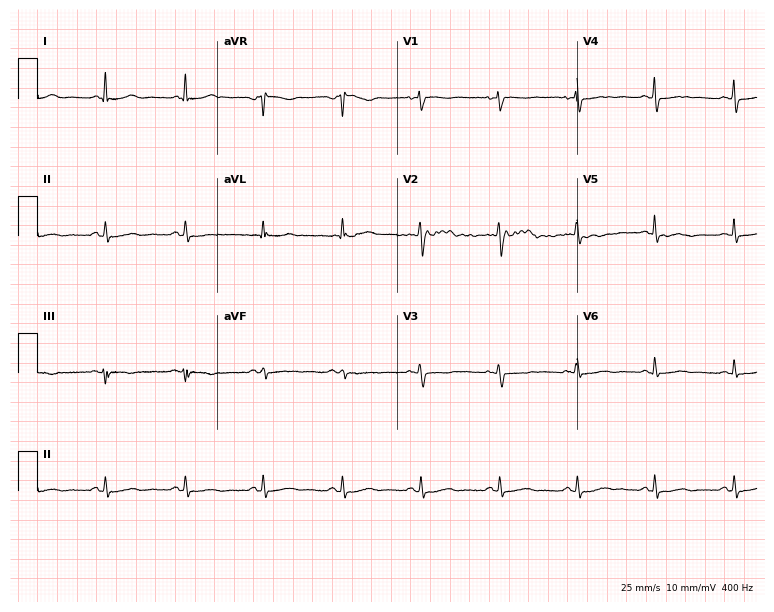
ECG (7.3-second recording at 400 Hz) — a 53-year-old female patient. Labelled as a normal ECG.